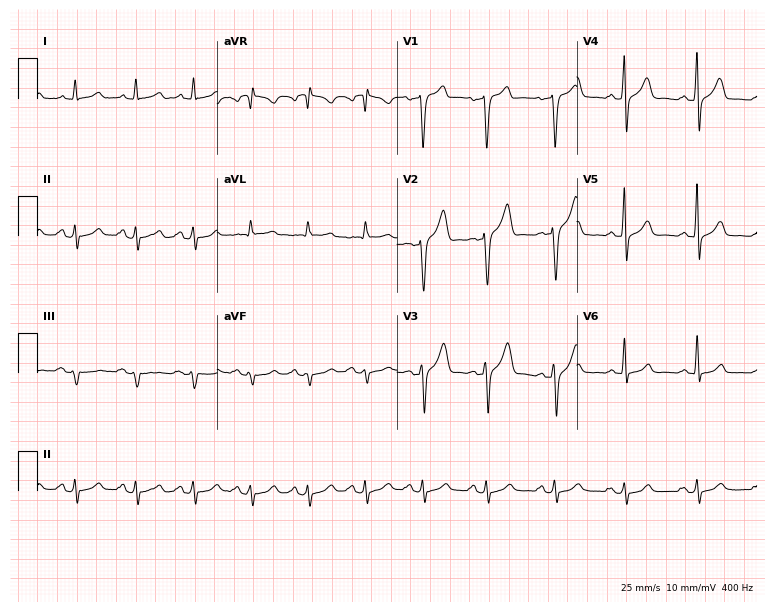
ECG (7.3-second recording at 400 Hz) — a male, 69 years old. Screened for six findings — first-degree AV block, right bundle branch block (RBBB), left bundle branch block (LBBB), sinus bradycardia, atrial fibrillation (AF), sinus tachycardia — none is recorded. Findings outside these six are not listed.